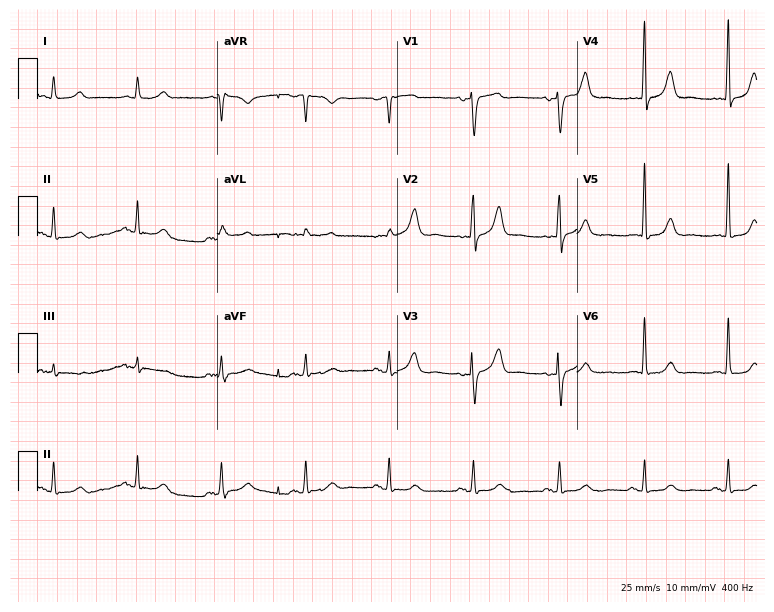
12-lead ECG from an 81-year-old female patient. Recorded interpretation: within normal limits.